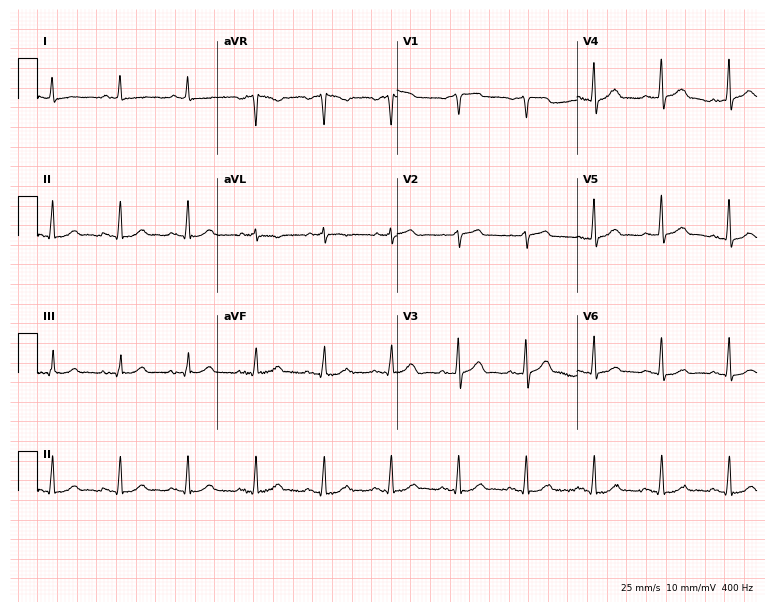
12-lead ECG from a male patient, 60 years old. No first-degree AV block, right bundle branch block (RBBB), left bundle branch block (LBBB), sinus bradycardia, atrial fibrillation (AF) or sinus tachycardia recorded for this tracing.